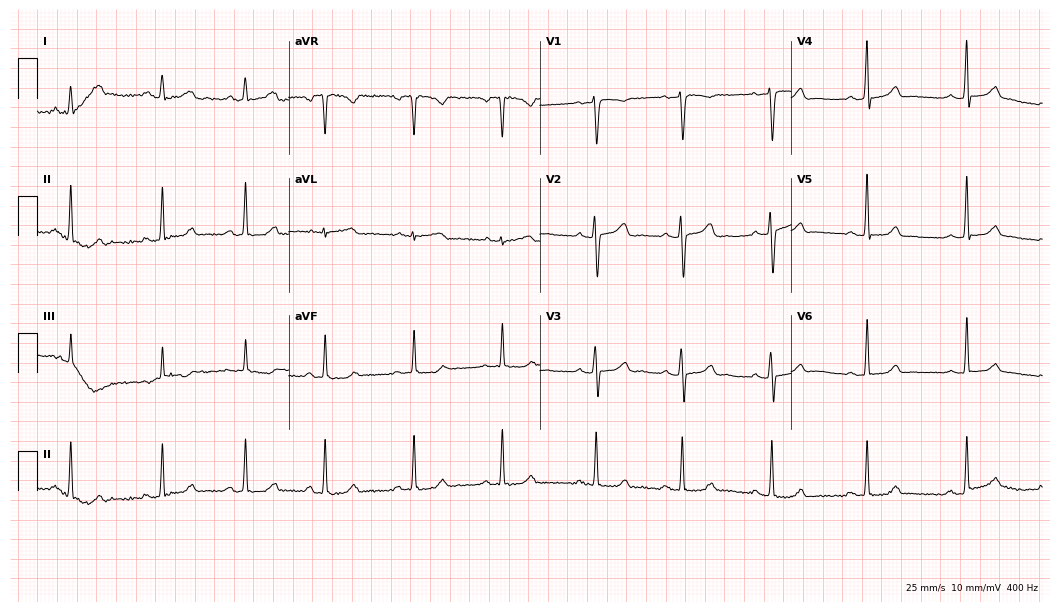
Electrocardiogram (10.2-second recording at 400 Hz), a 33-year-old female patient. Overall reading on record: normal ECG.